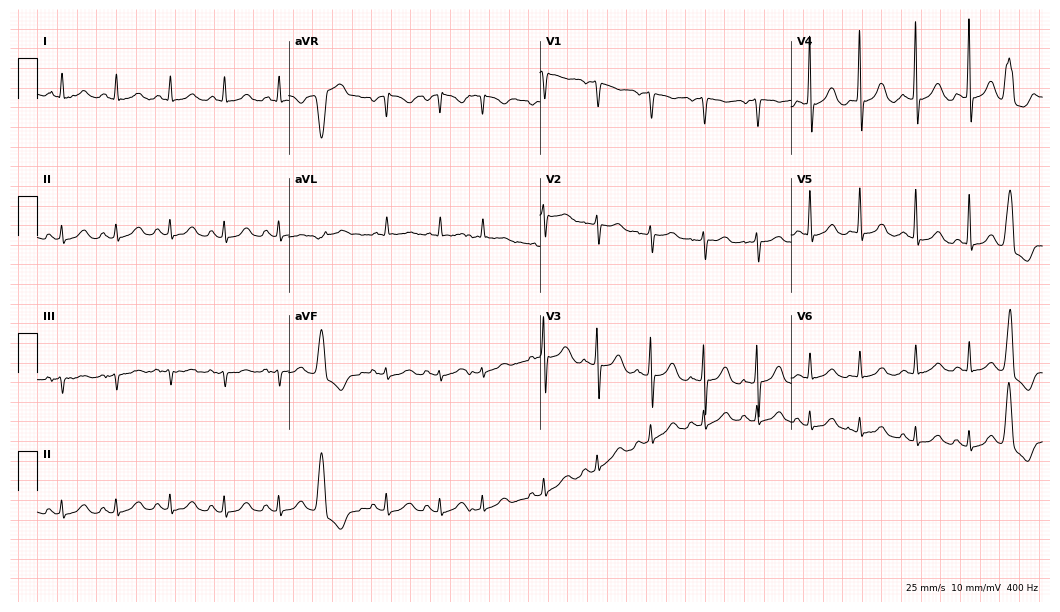
12-lead ECG (10.2-second recording at 400 Hz) from a female, 85 years old. Findings include sinus tachycardia (a sinus rate of 100 beats per minute or more).